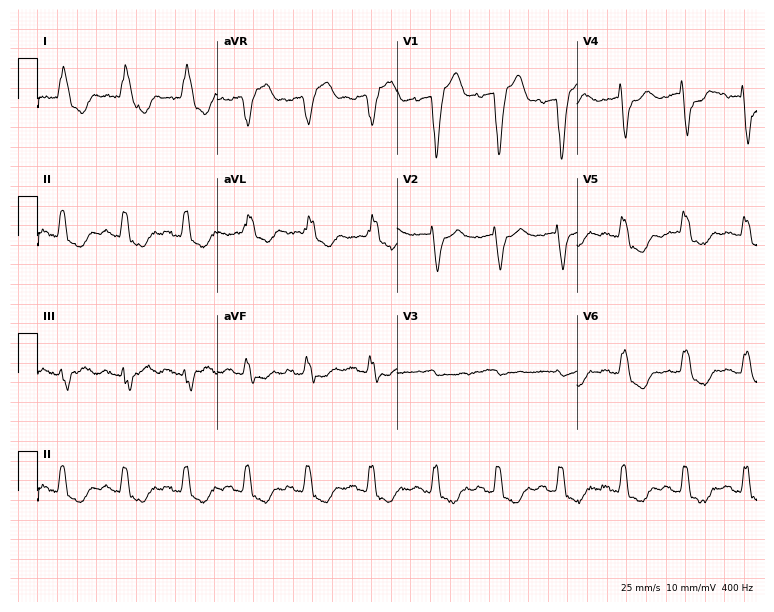
Electrocardiogram (7.3-second recording at 400 Hz), a female, 85 years old. Interpretation includes left bundle branch block (LBBB).